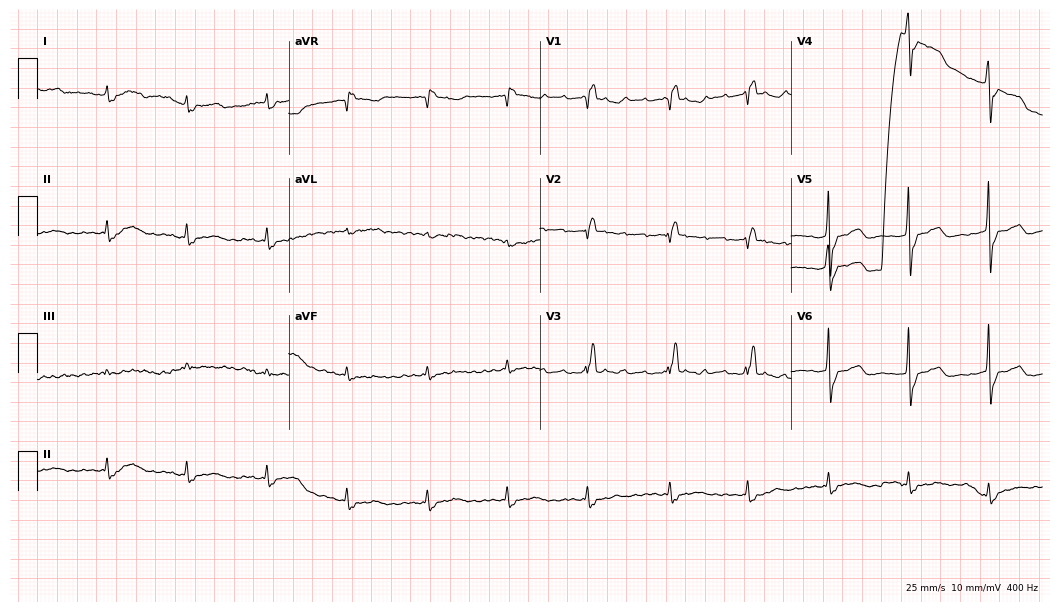
12-lead ECG from a man, 84 years old (10.2-second recording at 400 Hz). No first-degree AV block, right bundle branch block, left bundle branch block, sinus bradycardia, atrial fibrillation or sinus tachycardia recorded for this tracing. Other findings, if any, are not listed.